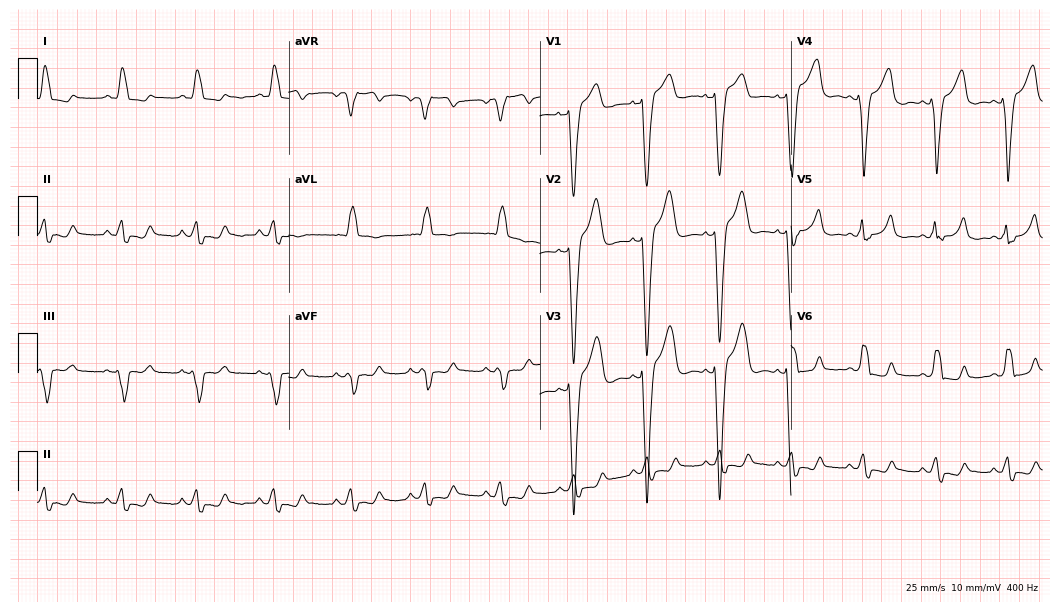
ECG (10.2-second recording at 400 Hz) — a female, 47 years old. Findings include left bundle branch block.